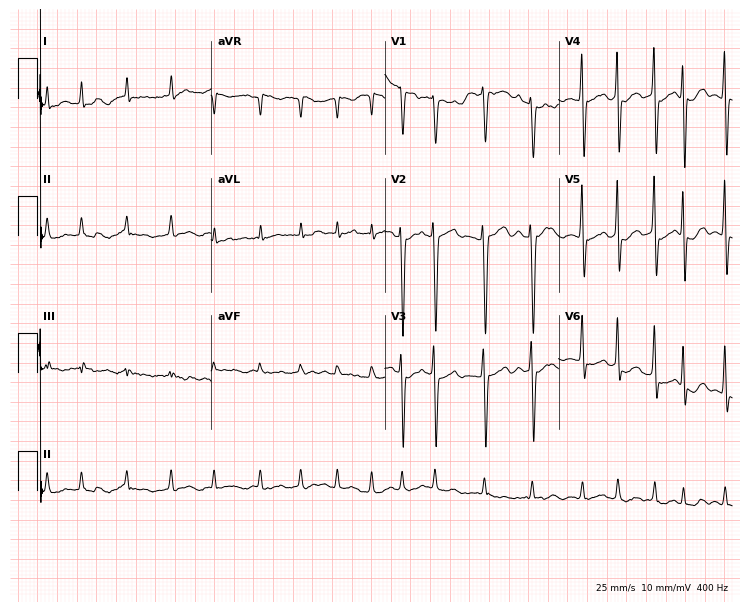
Standard 12-lead ECG recorded from an 84-year-old female (7.1-second recording at 400 Hz). None of these six findings is recorded: first-degree AV block, right bundle branch block (RBBB), left bundle branch block (LBBB), sinus bradycardia, atrial fibrillation (AF), sinus tachycardia. Only these six findings were labelled.